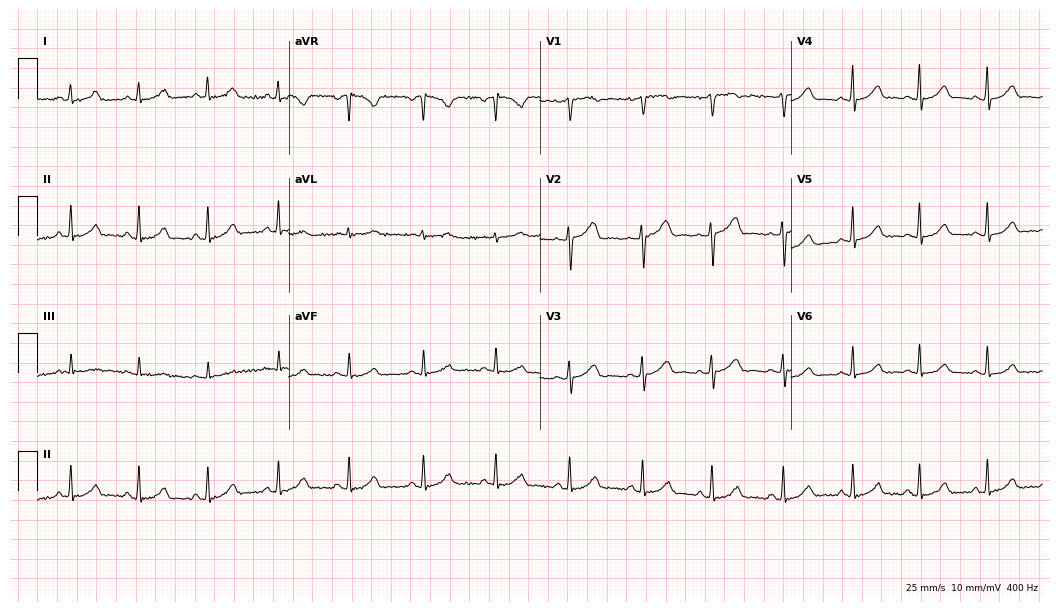
12-lead ECG from a woman, 31 years old. No first-degree AV block, right bundle branch block, left bundle branch block, sinus bradycardia, atrial fibrillation or sinus tachycardia recorded for this tracing.